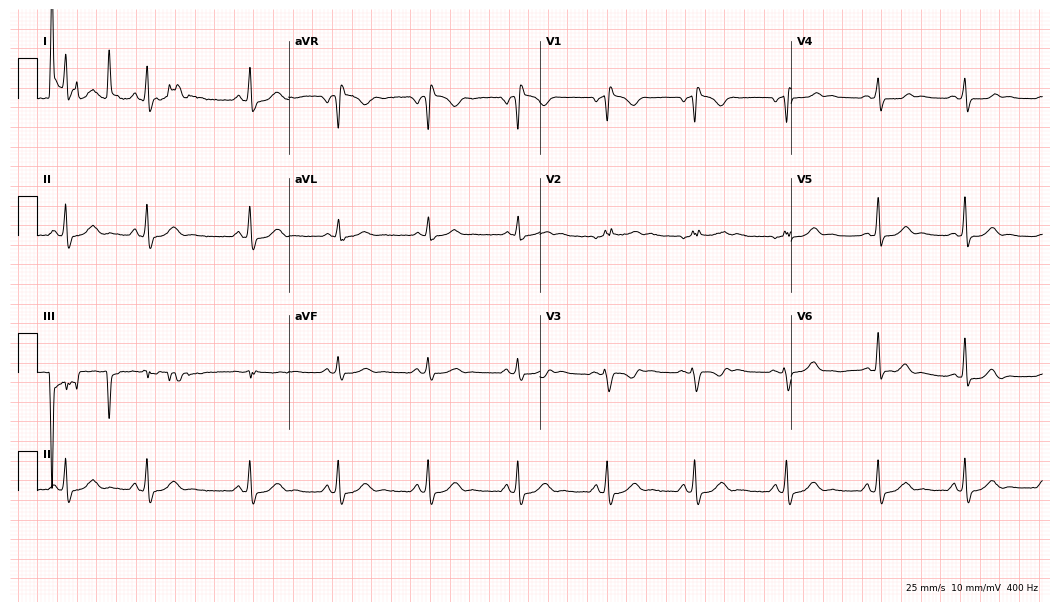
12-lead ECG (10.2-second recording at 400 Hz) from a 26-year-old female patient. Screened for six findings — first-degree AV block, right bundle branch block, left bundle branch block, sinus bradycardia, atrial fibrillation, sinus tachycardia — none is recorded. Other findings, if any, are not listed.